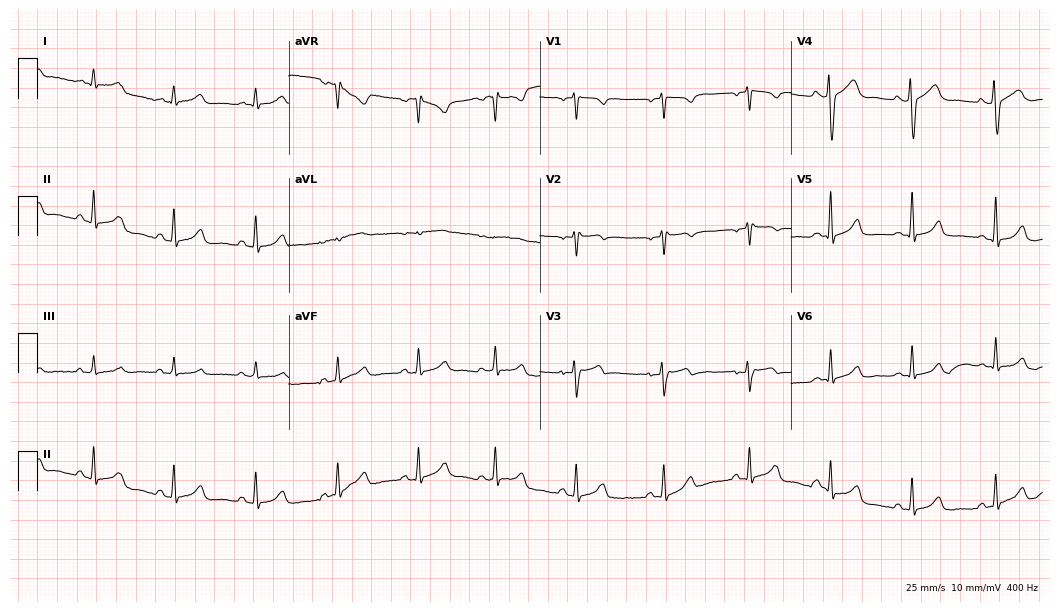
12-lead ECG (10.2-second recording at 400 Hz) from a 32-year-old man. Labelled as a normal ECG.